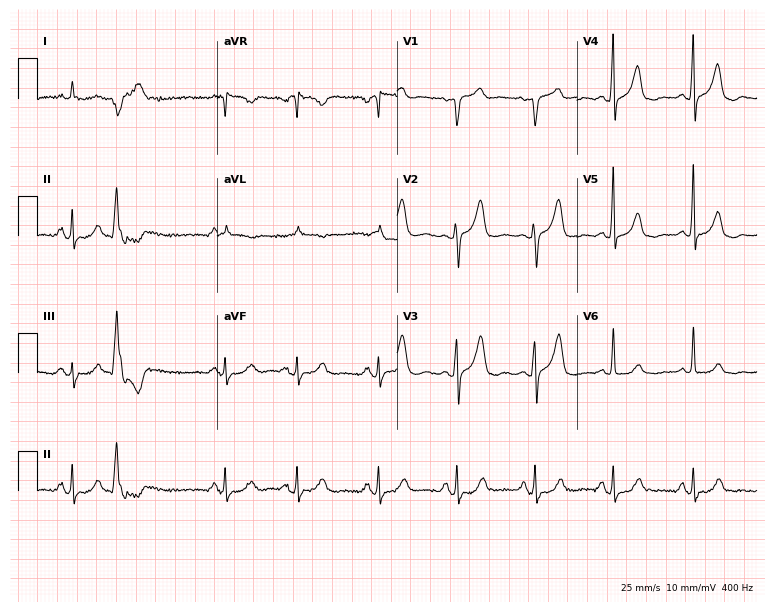
12-lead ECG from a 69-year-old man. Screened for six findings — first-degree AV block, right bundle branch block (RBBB), left bundle branch block (LBBB), sinus bradycardia, atrial fibrillation (AF), sinus tachycardia — none is recorded.